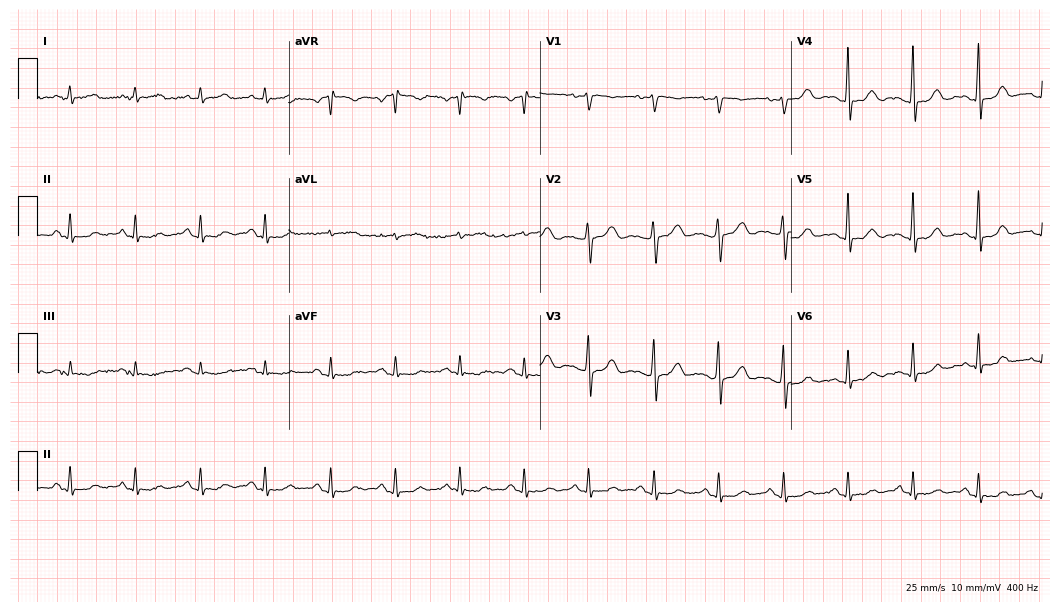
Electrocardiogram, a female, 52 years old. Overall reading on record: normal ECG.